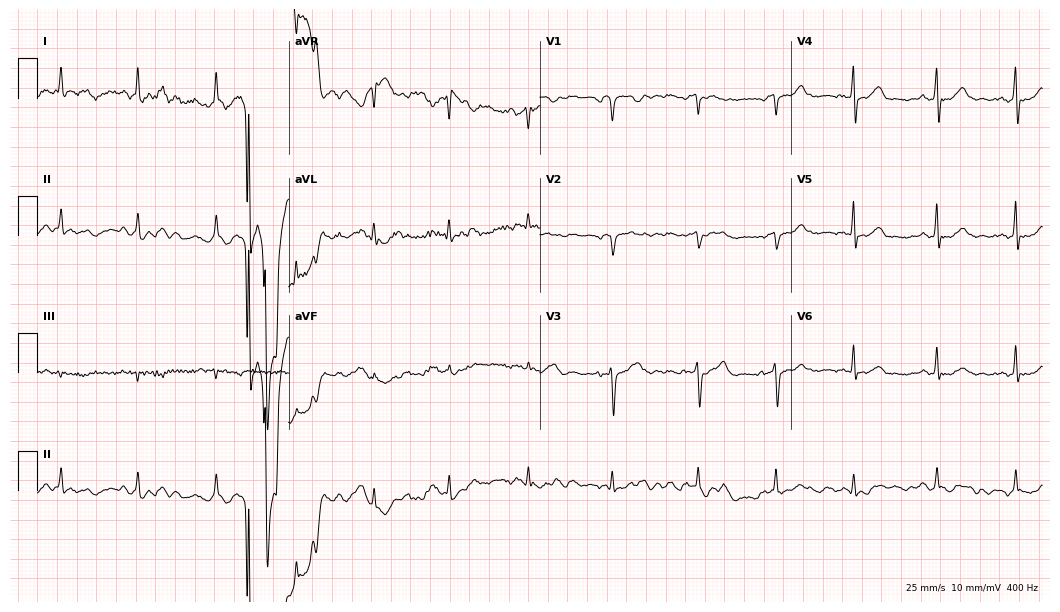
Electrocardiogram, a 37-year-old female patient. Of the six screened findings (first-degree AV block, right bundle branch block (RBBB), left bundle branch block (LBBB), sinus bradycardia, atrial fibrillation (AF), sinus tachycardia), none is recorded.